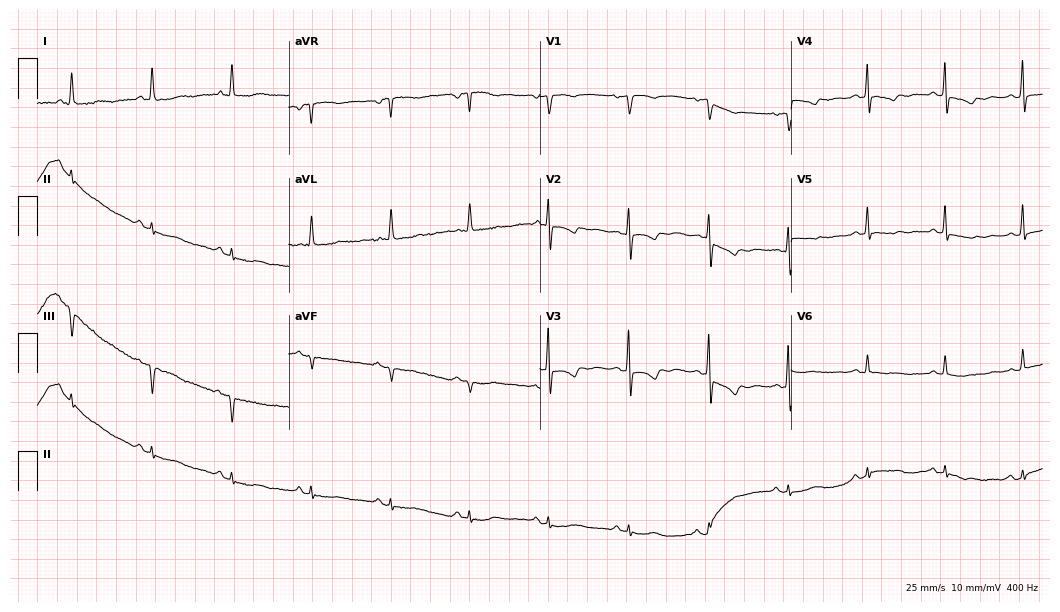
12-lead ECG (10.2-second recording at 400 Hz) from an 81-year-old male. Screened for six findings — first-degree AV block, right bundle branch block, left bundle branch block, sinus bradycardia, atrial fibrillation, sinus tachycardia — none is recorded. Other findings, if any, are not listed.